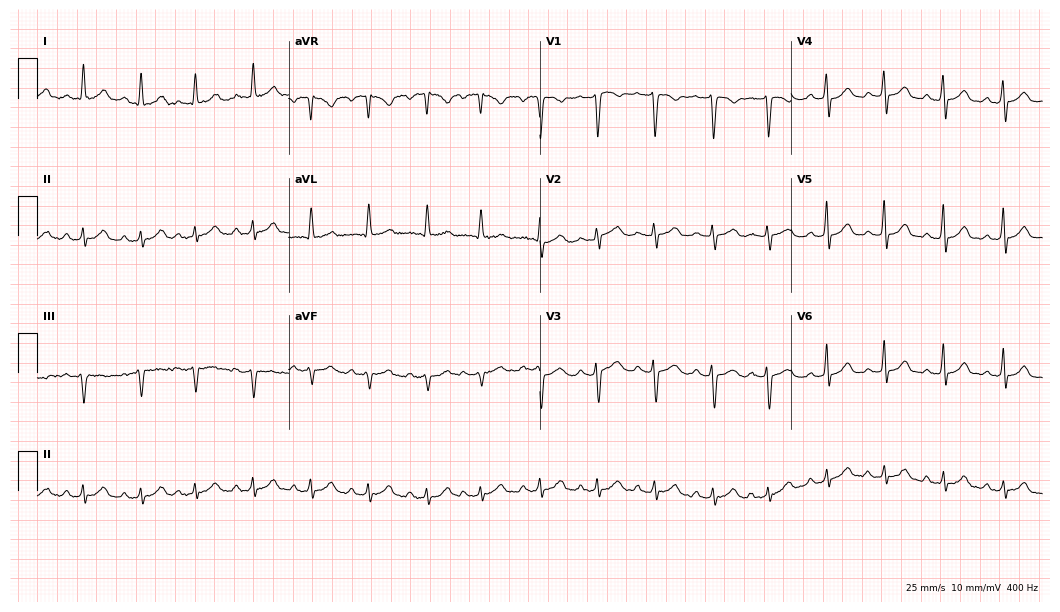
Resting 12-lead electrocardiogram. Patient: a 61-year-old woman. Read as a normal ECG.